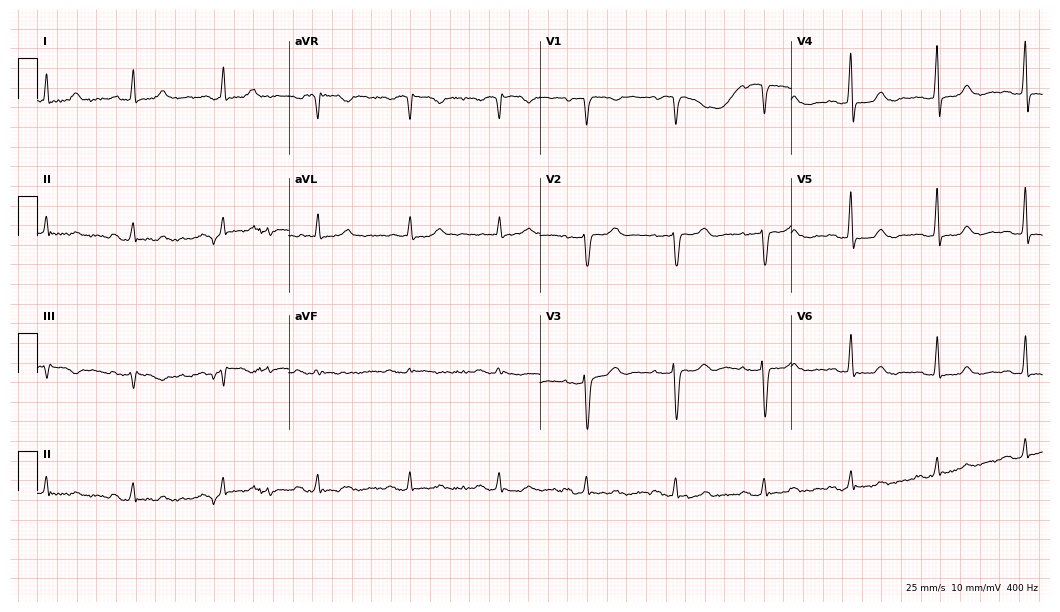
Standard 12-lead ECG recorded from a 63-year-old female patient (10.2-second recording at 400 Hz). None of these six findings is recorded: first-degree AV block, right bundle branch block, left bundle branch block, sinus bradycardia, atrial fibrillation, sinus tachycardia. Findings outside these six are not listed.